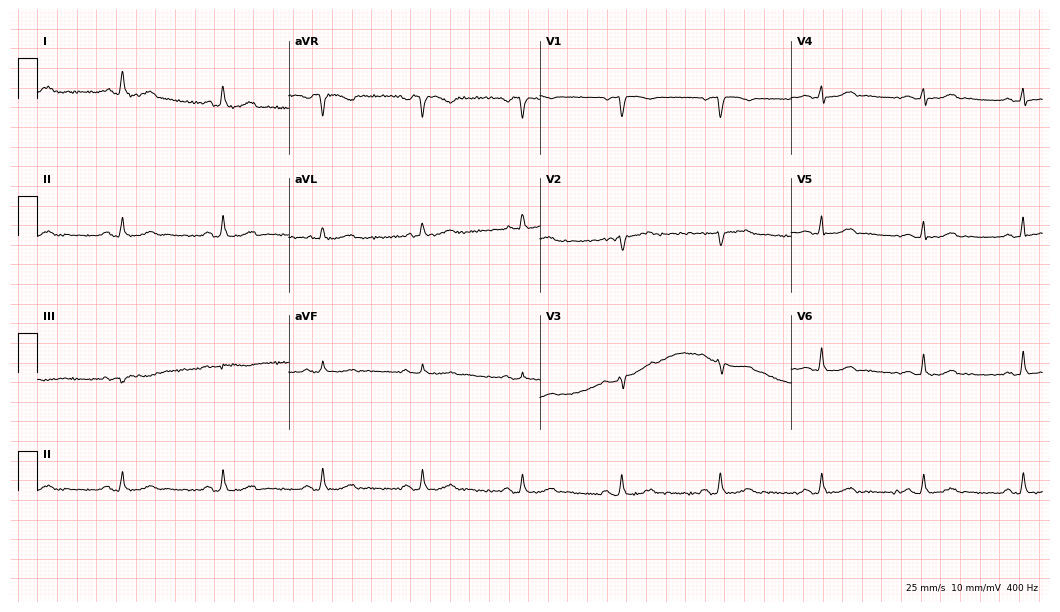
12-lead ECG from a woman, 69 years old (10.2-second recording at 400 Hz). No first-degree AV block, right bundle branch block (RBBB), left bundle branch block (LBBB), sinus bradycardia, atrial fibrillation (AF) or sinus tachycardia recorded for this tracing. Only these six findings were labelled.